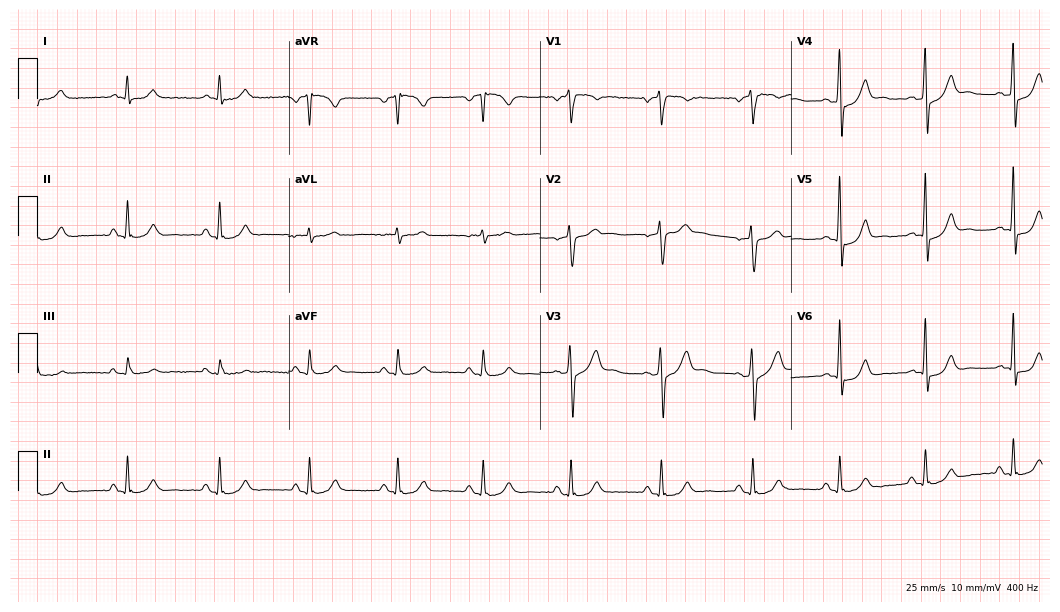
Resting 12-lead electrocardiogram (10.2-second recording at 400 Hz). Patient: a man, 49 years old. Read as a normal ECG.